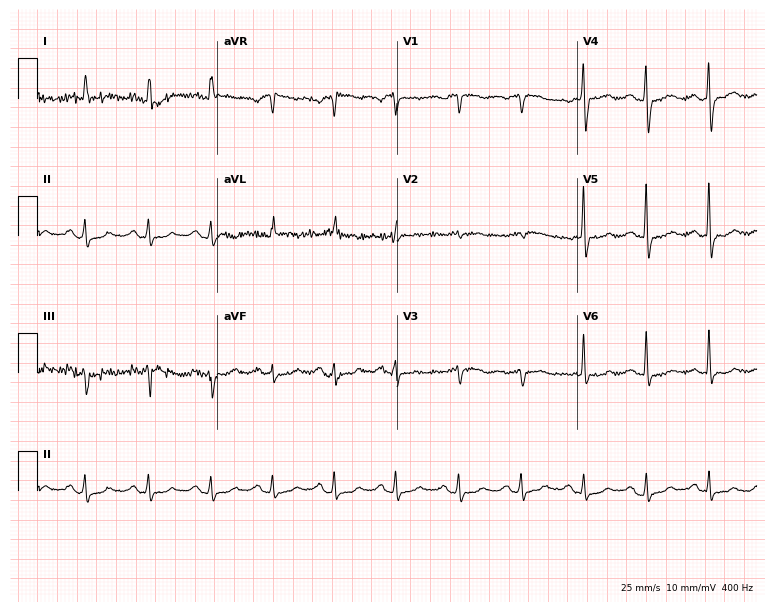
12-lead ECG from a 72-year-old female. Recorded interpretation: within normal limits.